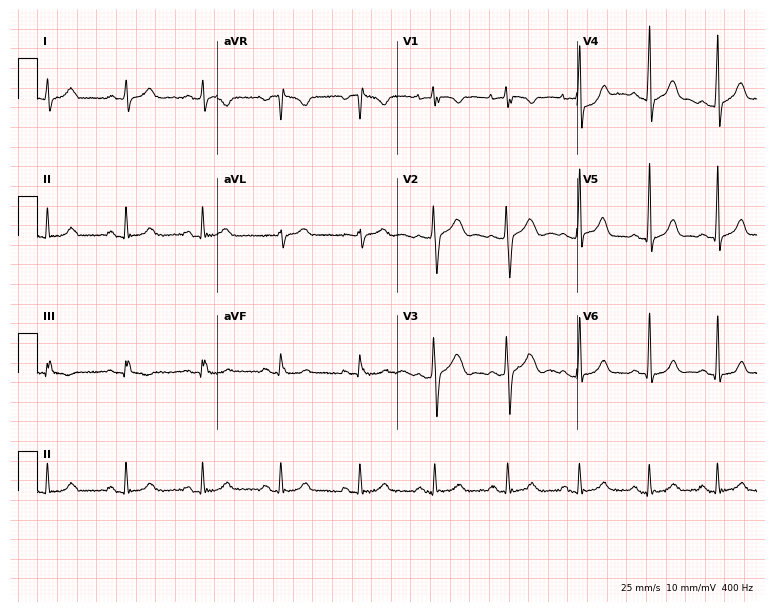
12-lead ECG from a 22-year-old female patient (7.3-second recording at 400 Hz). No first-degree AV block, right bundle branch block, left bundle branch block, sinus bradycardia, atrial fibrillation or sinus tachycardia recorded for this tracing. Other findings, if any, are not listed.